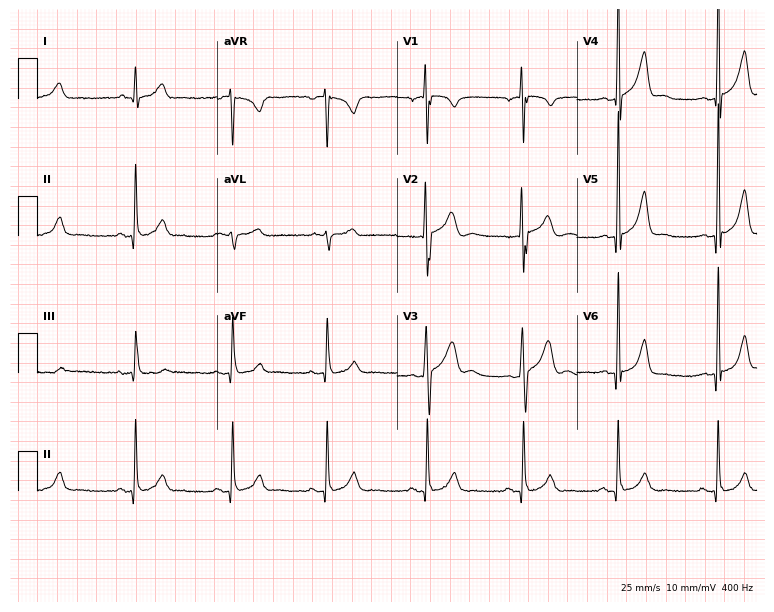
Resting 12-lead electrocardiogram. Patient: a 29-year-old male. Read as a normal ECG.